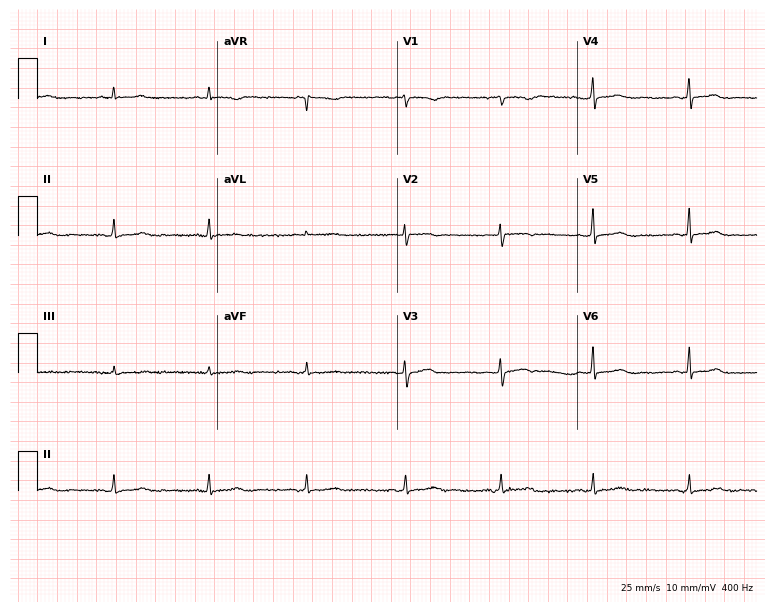
Standard 12-lead ECG recorded from a female, 33 years old. None of these six findings is recorded: first-degree AV block, right bundle branch block, left bundle branch block, sinus bradycardia, atrial fibrillation, sinus tachycardia. Findings outside these six are not listed.